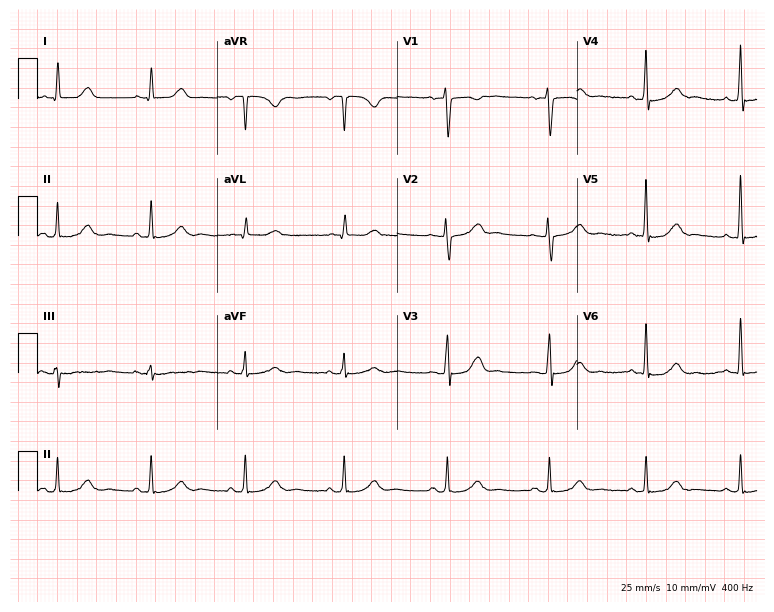
Electrocardiogram (7.3-second recording at 400 Hz), a 54-year-old woman. Of the six screened findings (first-degree AV block, right bundle branch block, left bundle branch block, sinus bradycardia, atrial fibrillation, sinus tachycardia), none is recorded.